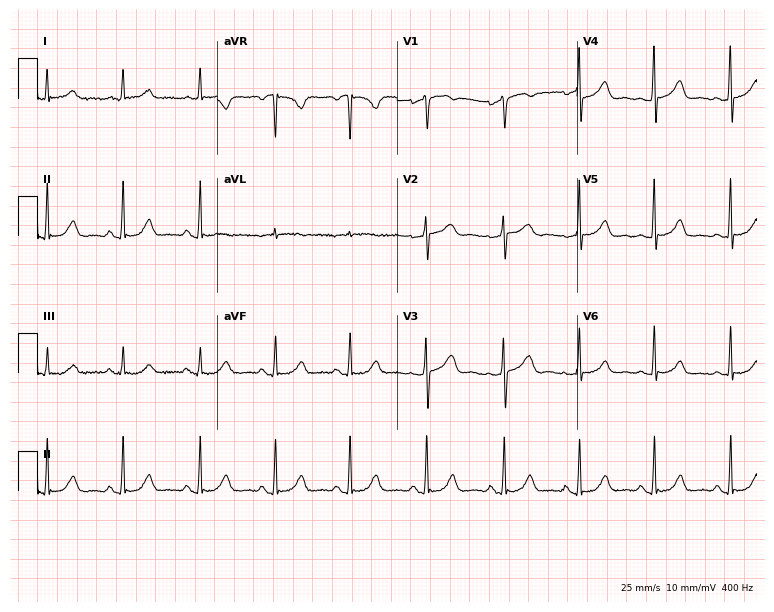
12-lead ECG from a female patient, 62 years old. Labelled as a normal ECG.